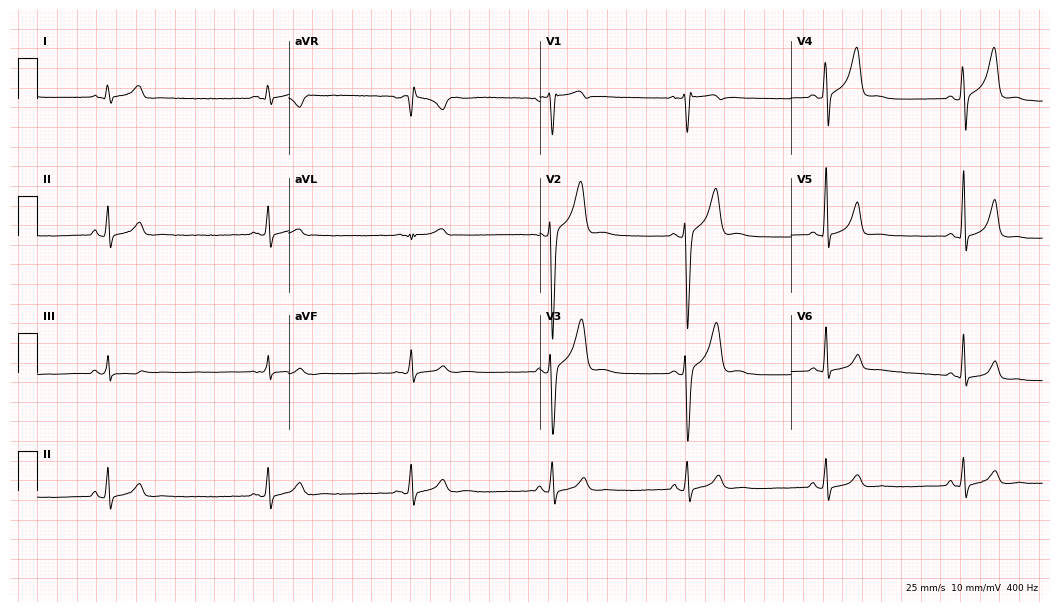
Standard 12-lead ECG recorded from a man, 25 years old. The tracing shows sinus bradycardia (a sinus rate of 50 beats per minute or less).